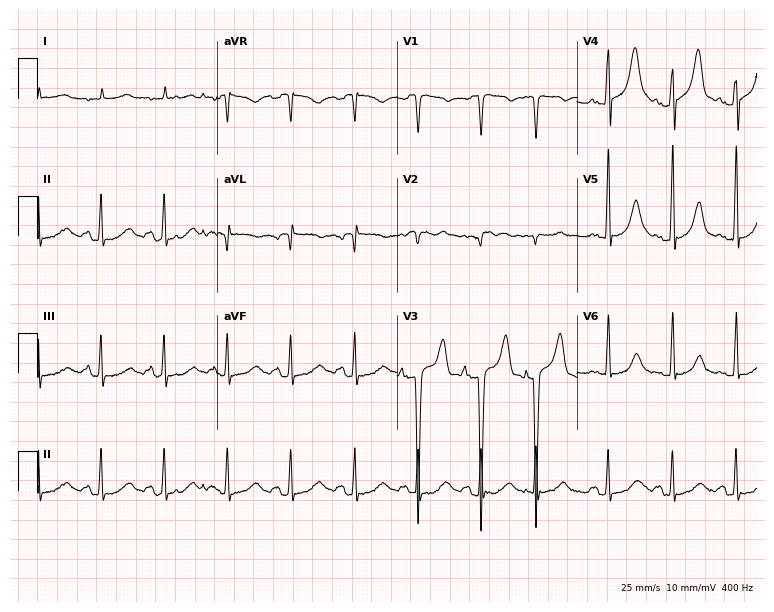
ECG (7.3-second recording at 400 Hz) — a 66-year-old man. Screened for six findings — first-degree AV block, right bundle branch block, left bundle branch block, sinus bradycardia, atrial fibrillation, sinus tachycardia — none is recorded.